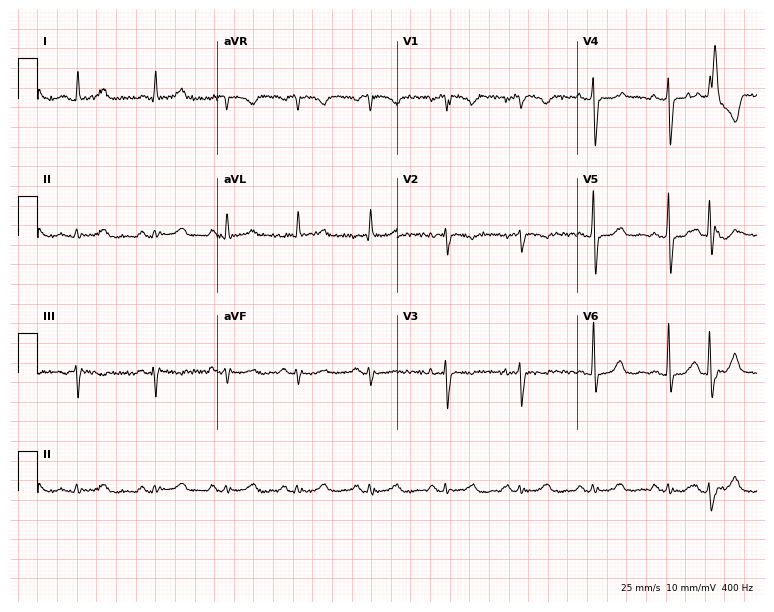
ECG (7.3-second recording at 400 Hz) — a 71-year-old male patient. Screened for six findings — first-degree AV block, right bundle branch block (RBBB), left bundle branch block (LBBB), sinus bradycardia, atrial fibrillation (AF), sinus tachycardia — none is recorded. Other findings, if any, are not listed.